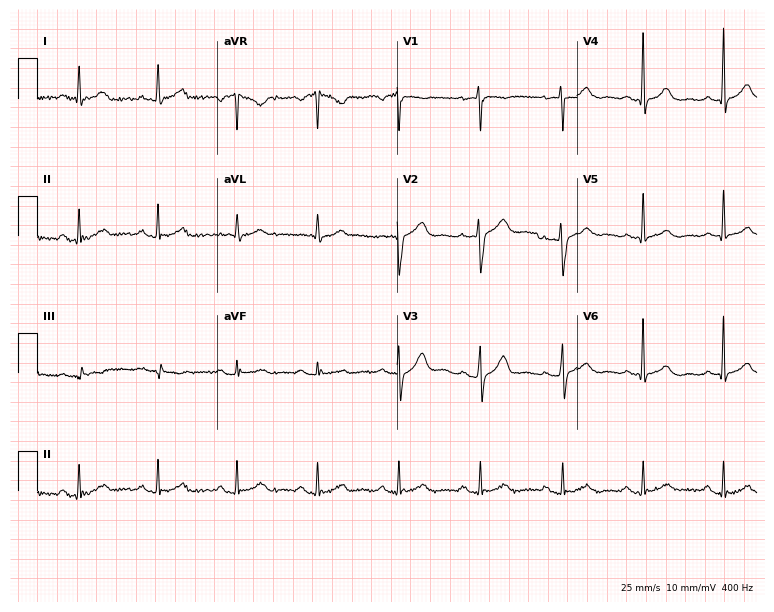
12-lead ECG from a 61-year-old female. Labelled as a normal ECG.